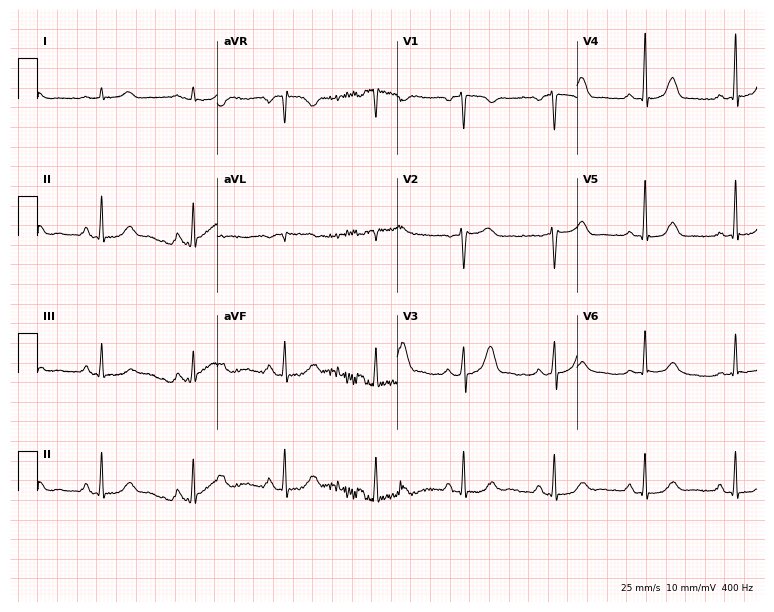
ECG — a female patient, 64 years old. Labelled as a normal ECG.